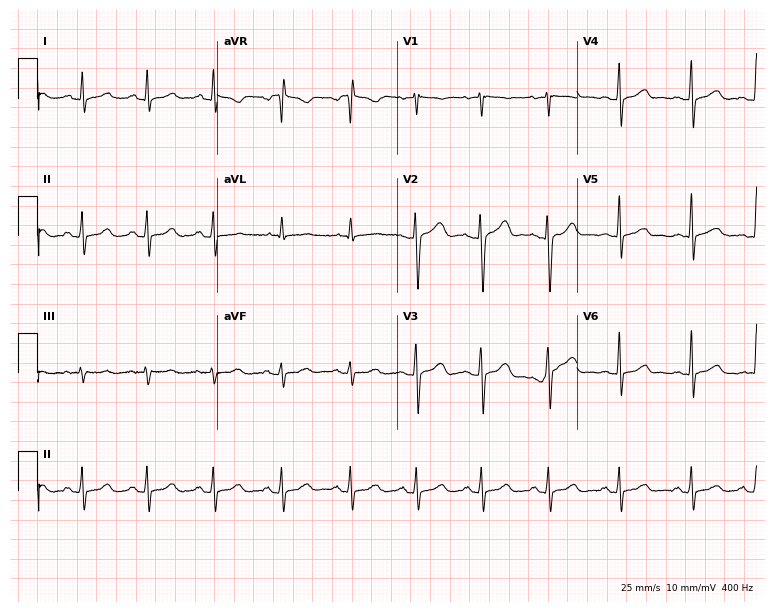
12-lead ECG (7.3-second recording at 400 Hz) from a female patient, 24 years old. Labelled as a normal ECG.